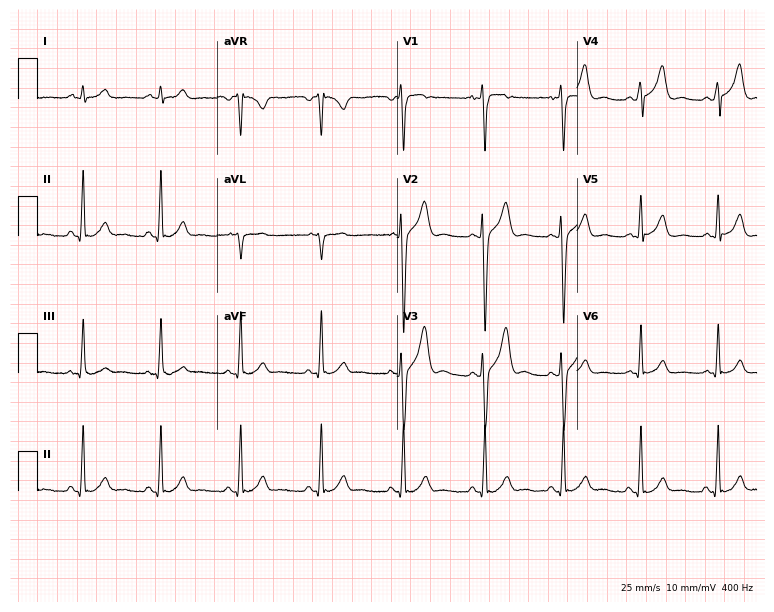
12-lead ECG from a 23-year-old male. Recorded interpretation: within normal limits.